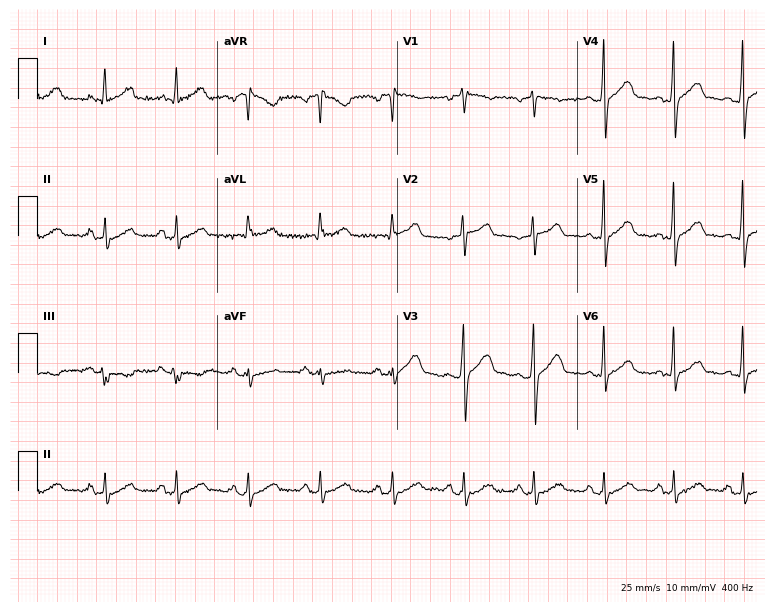
ECG — a 57-year-old male patient. Screened for six findings — first-degree AV block, right bundle branch block (RBBB), left bundle branch block (LBBB), sinus bradycardia, atrial fibrillation (AF), sinus tachycardia — none is recorded.